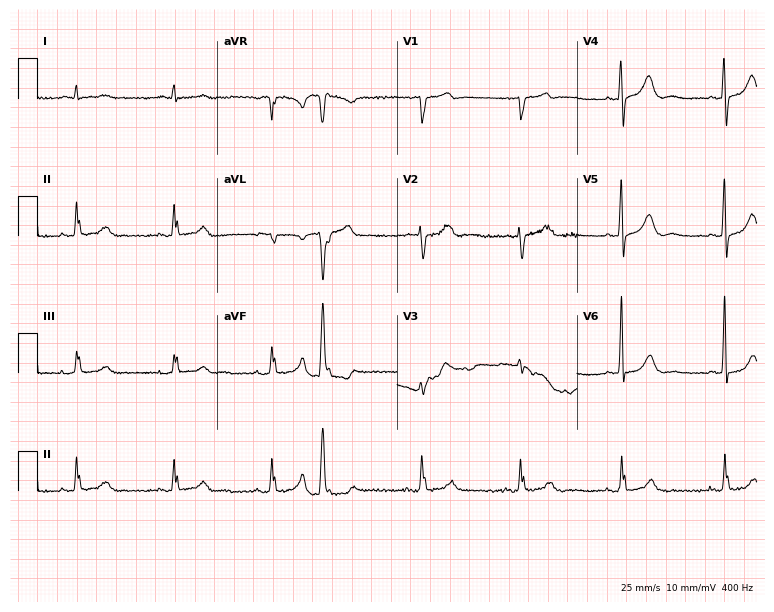
Electrocardiogram, a man, 72 years old. Of the six screened findings (first-degree AV block, right bundle branch block, left bundle branch block, sinus bradycardia, atrial fibrillation, sinus tachycardia), none is recorded.